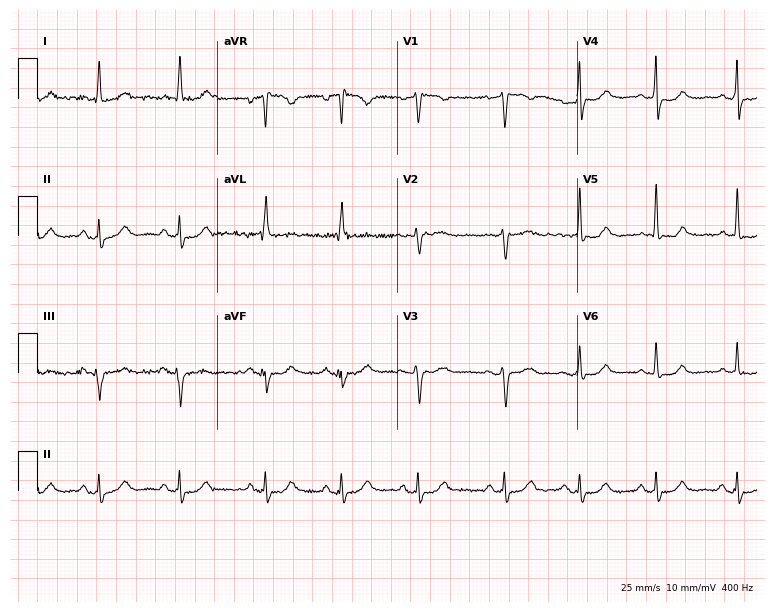
12-lead ECG from a 63-year-old woman. No first-degree AV block, right bundle branch block (RBBB), left bundle branch block (LBBB), sinus bradycardia, atrial fibrillation (AF) or sinus tachycardia recorded for this tracing. Findings outside these six are not listed.